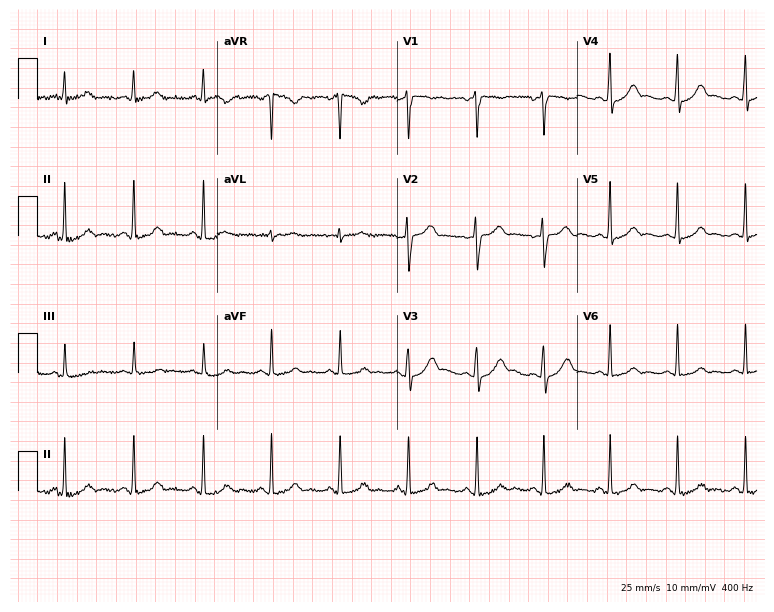
Resting 12-lead electrocardiogram. Patient: a female, 29 years old. Read as a normal ECG.